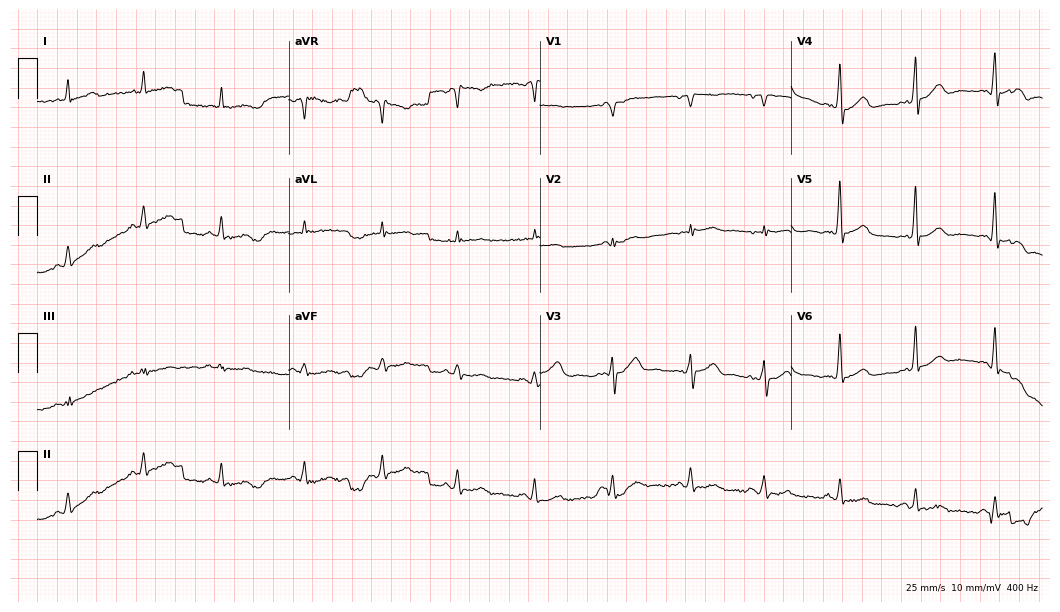
Standard 12-lead ECG recorded from a male, 52 years old (10.2-second recording at 400 Hz). Read as a normal ECG.